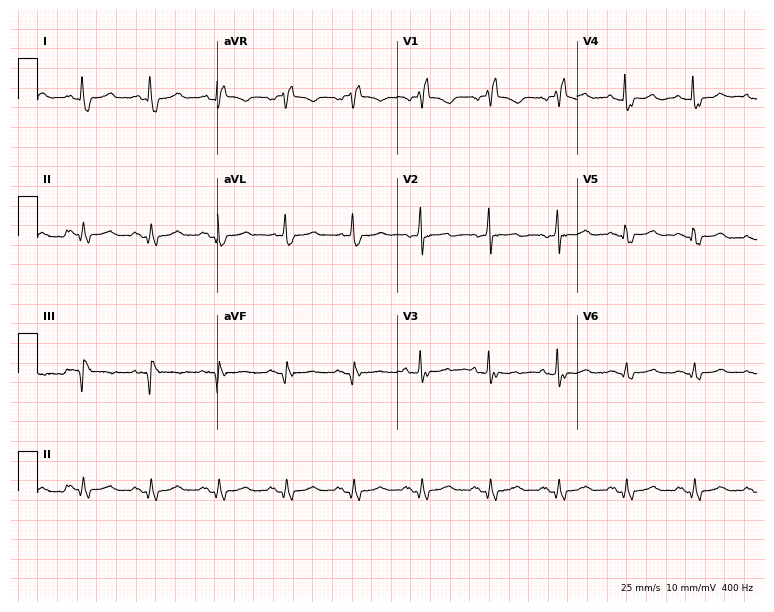
12-lead ECG from a 67-year-old female (7.3-second recording at 400 Hz). Shows right bundle branch block (RBBB).